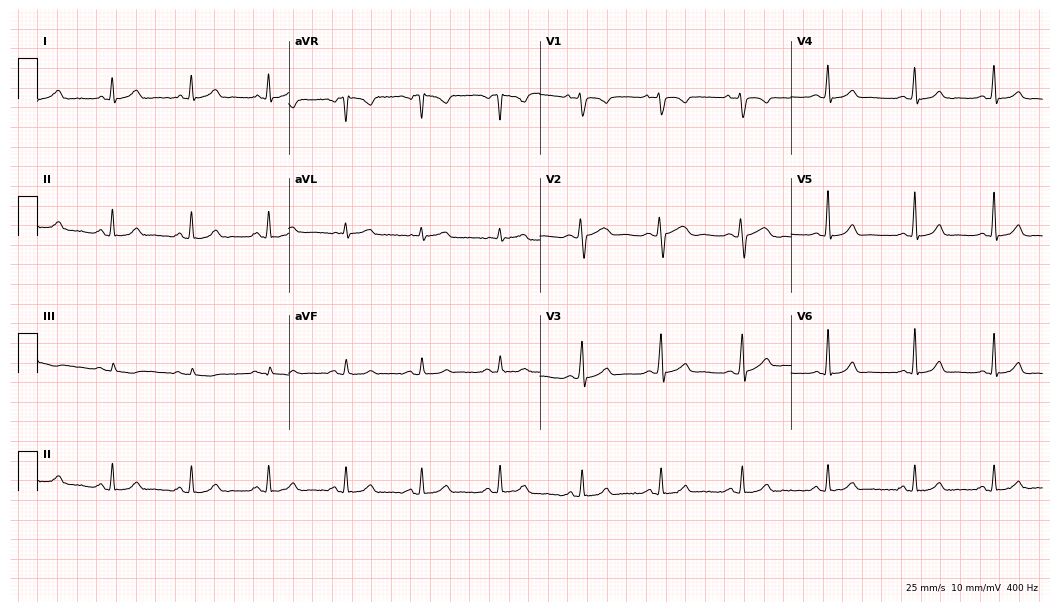
Electrocardiogram (10.2-second recording at 400 Hz), a 31-year-old female patient. Of the six screened findings (first-degree AV block, right bundle branch block (RBBB), left bundle branch block (LBBB), sinus bradycardia, atrial fibrillation (AF), sinus tachycardia), none is recorded. Other findings, if any, are not listed.